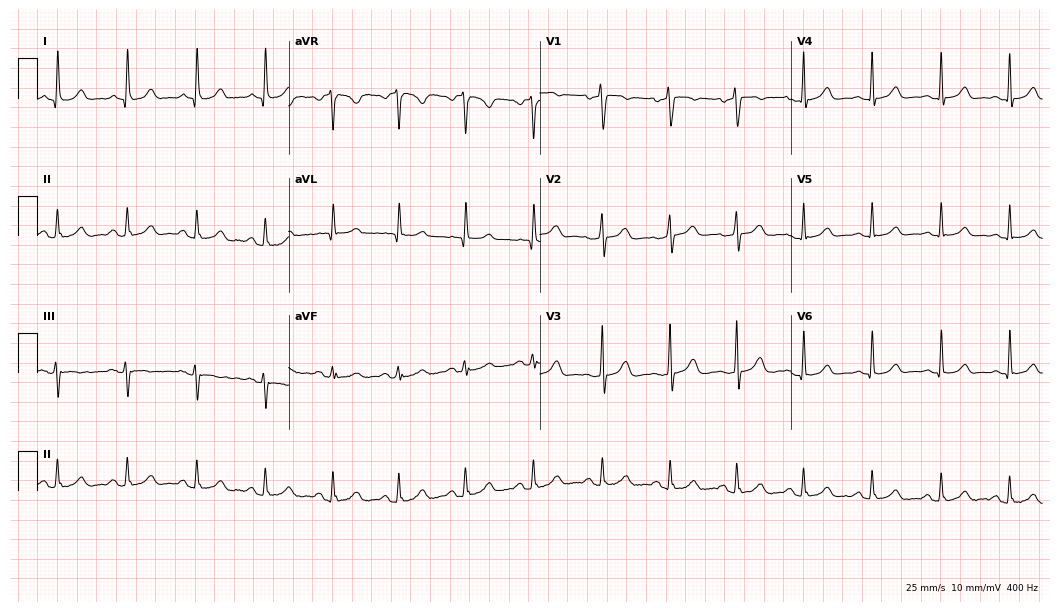
Electrocardiogram, a female, 53 years old. Overall reading on record: normal ECG.